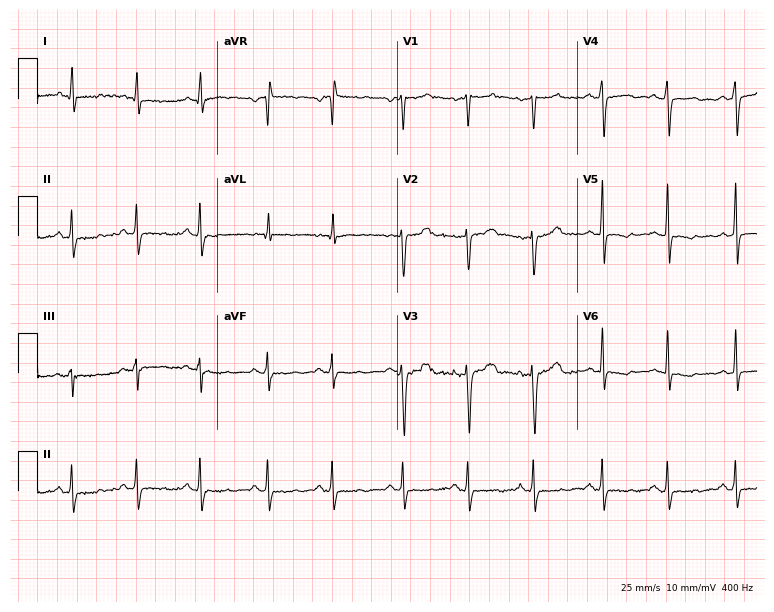
Standard 12-lead ECG recorded from a male patient, 36 years old. None of these six findings is recorded: first-degree AV block, right bundle branch block (RBBB), left bundle branch block (LBBB), sinus bradycardia, atrial fibrillation (AF), sinus tachycardia. Other findings, if any, are not listed.